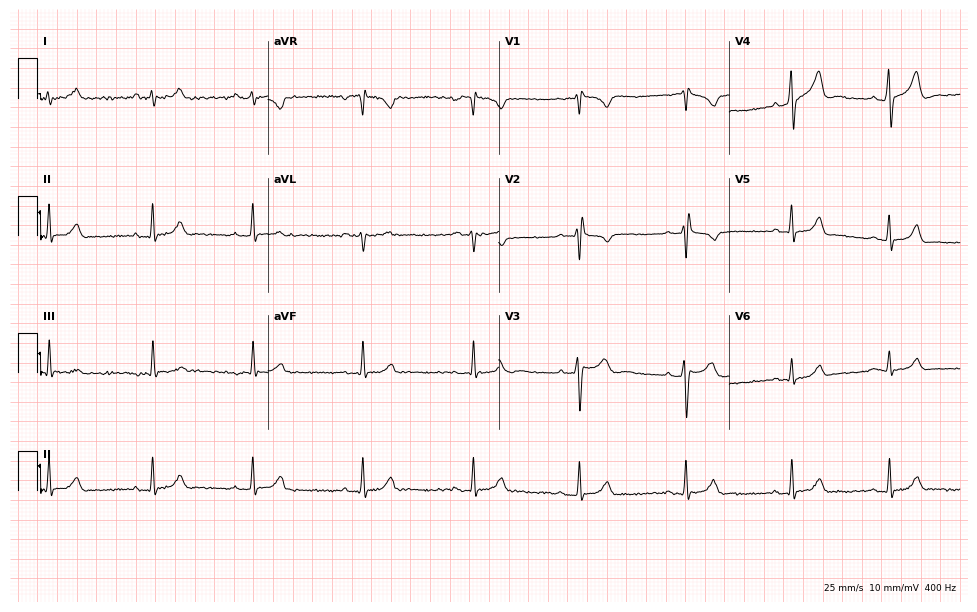
Standard 12-lead ECG recorded from a male, 28 years old. None of these six findings is recorded: first-degree AV block, right bundle branch block, left bundle branch block, sinus bradycardia, atrial fibrillation, sinus tachycardia.